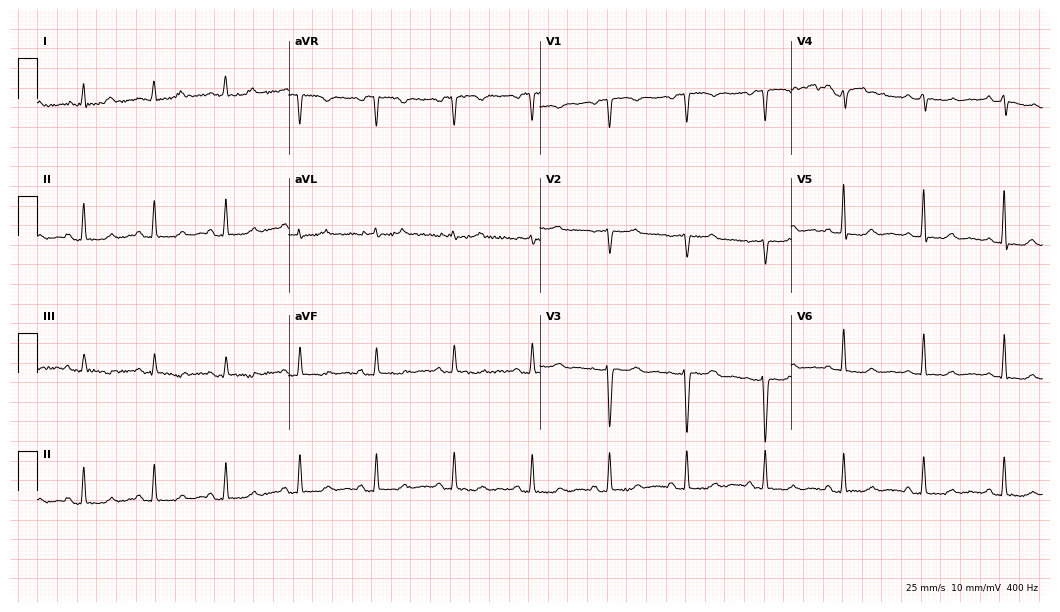
Standard 12-lead ECG recorded from a 61-year-old female patient (10.2-second recording at 400 Hz). None of these six findings is recorded: first-degree AV block, right bundle branch block, left bundle branch block, sinus bradycardia, atrial fibrillation, sinus tachycardia.